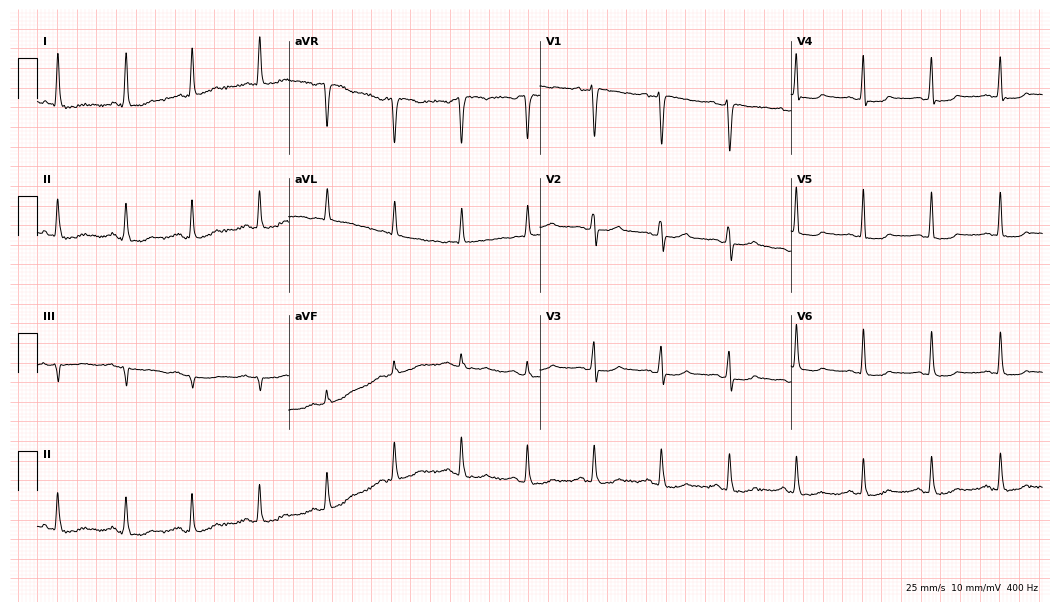
ECG (10.2-second recording at 400 Hz) — a female patient, 45 years old. Labelled as a normal ECG.